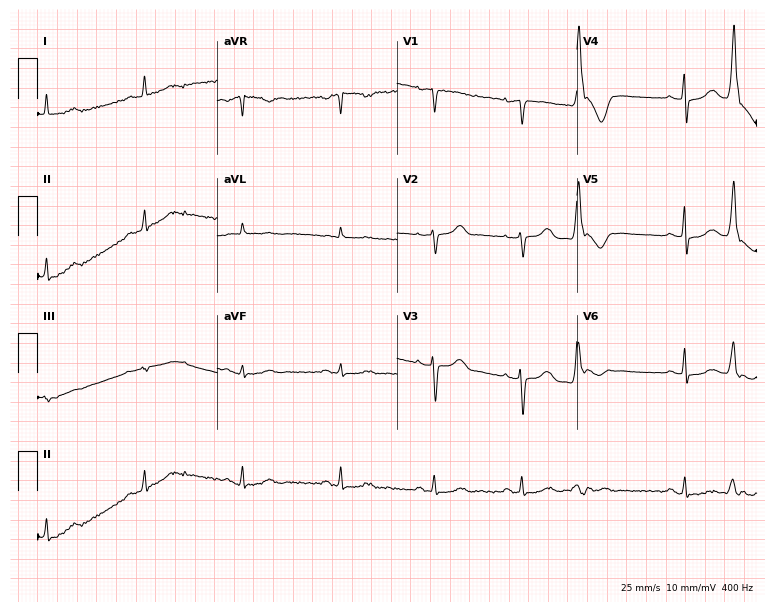
Electrocardiogram (7.3-second recording at 400 Hz), a woman, 38 years old. Of the six screened findings (first-degree AV block, right bundle branch block (RBBB), left bundle branch block (LBBB), sinus bradycardia, atrial fibrillation (AF), sinus tachycardia), none is recorded. Findings outside these six are not listed.